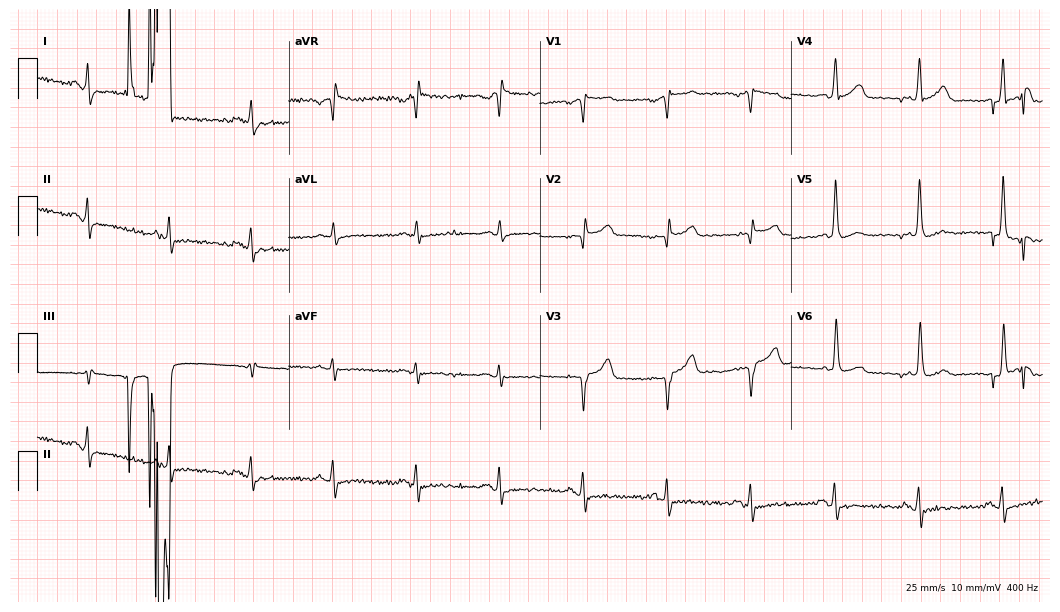
12-lead ECG from a male patient, 79 years old. Screened for six findings — first-degree AV block, right bundle branch block, left bundle branch block, sinus bradycardia, atrial fibrillation, sinus tachycardia — none is recorded. Only these six findings were labelled.